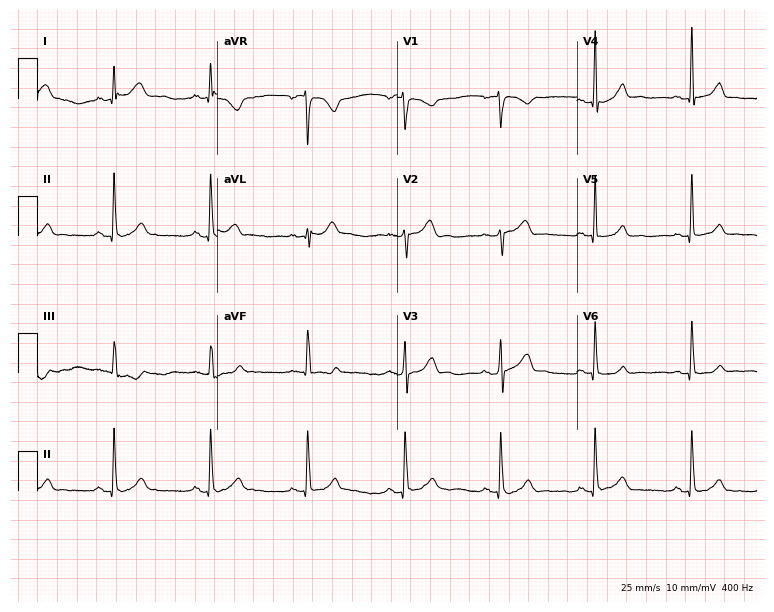
Resting 12-lead electrocardiogram. Patient: a 51-year-old female. None of these six findings is recorded: first-degree AV block, right bundle branch block, left bundle branch block, sinus bradycardia, atrial fibrillation, sinus tachycardia.